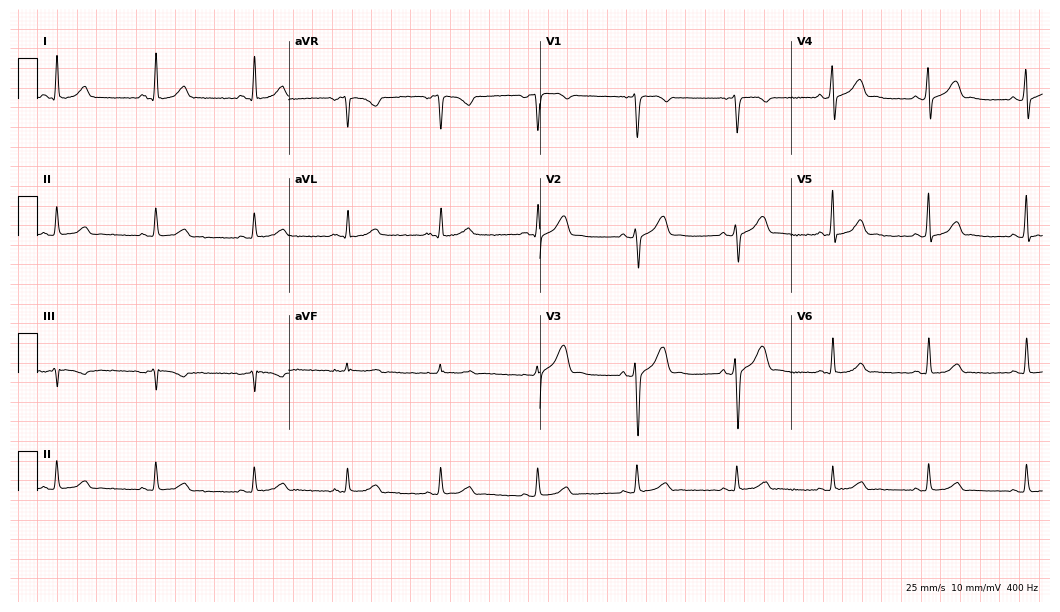
ECG — a man, 35 years old. Labelled as a normal ECG.